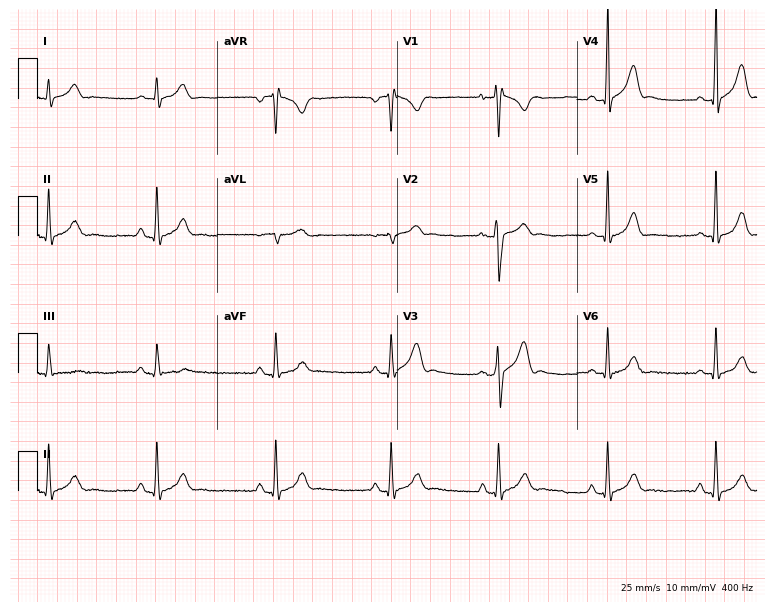
ECG — a male, 27 years old. Labelled as a normal ECG.